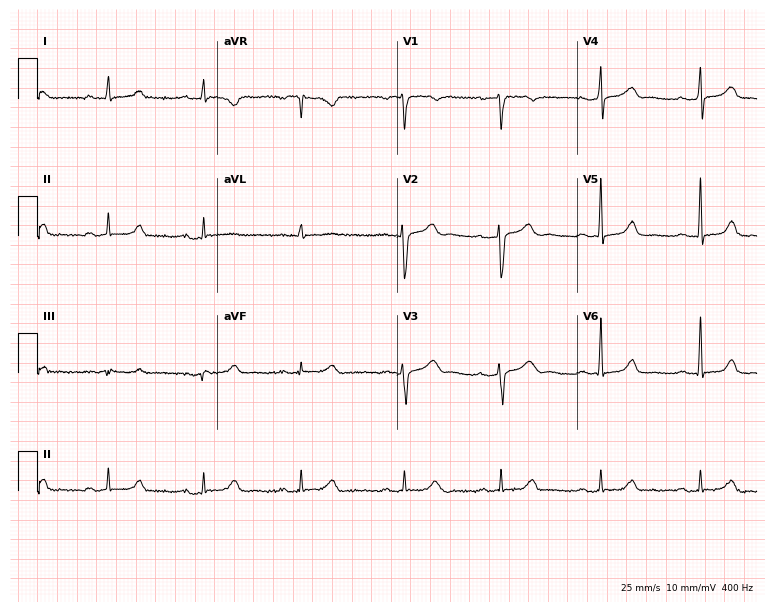
Standard 12-lead ECG recorded from a woman, 46 years old (7.3-second recording at 400 Hz). None of these six findings is recorded: first-degree AV block, right bundle branch block, left bundle branch block, sinus bradycardia, atrial fibrillation, sinus tachycardia.